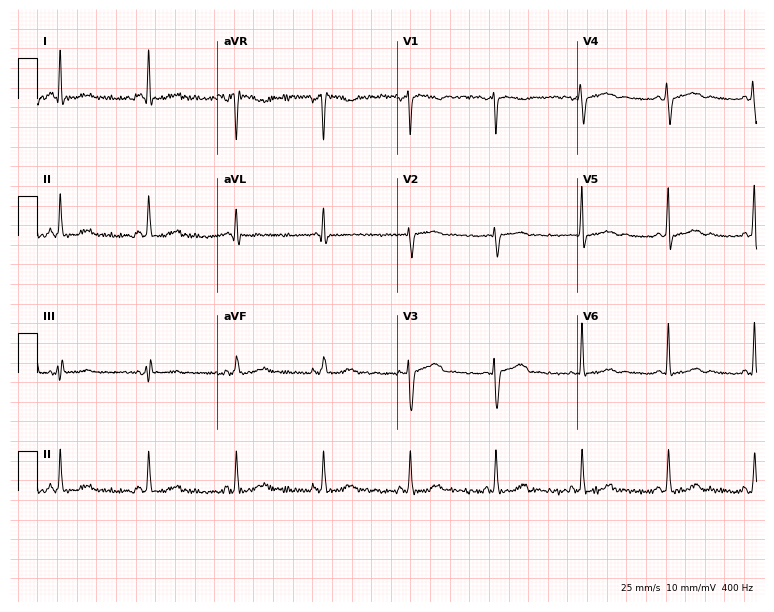
12-lead ECG from a 56-year-old female patient. Labelled as a normal ECG.